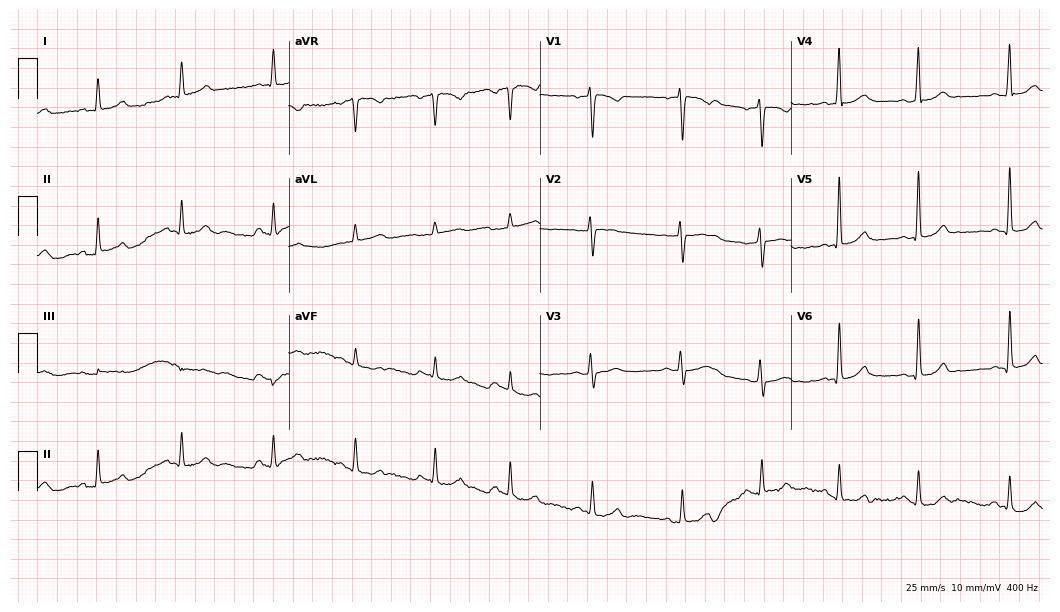
ECG (10.2-second recording at 400 Hz) — a female patient, 55 years old. Labelled as a normal ECG.